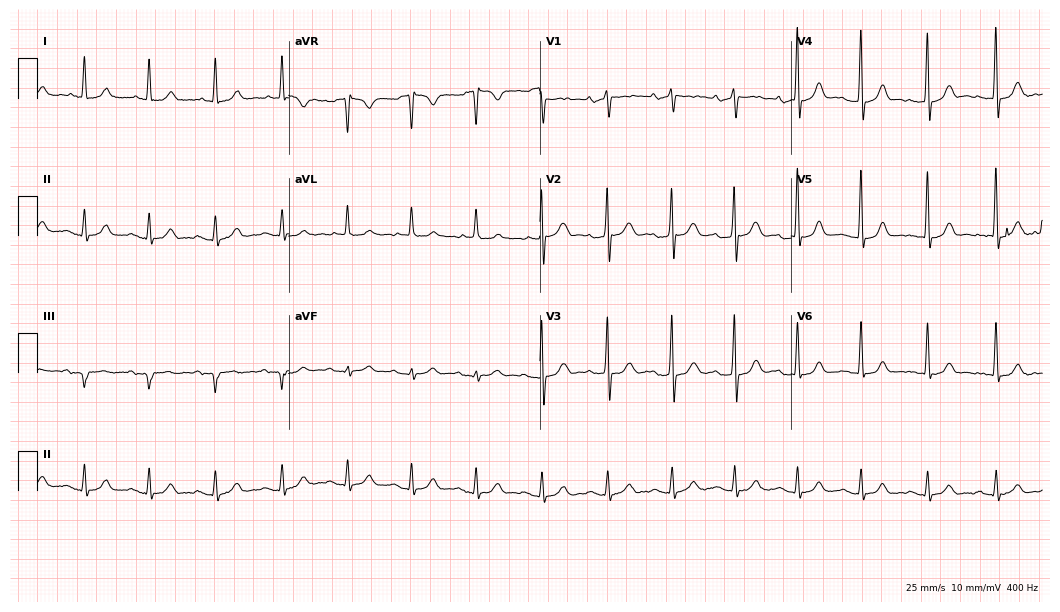
ECG — a 74-year-old male. Labelled as a normal ECG.